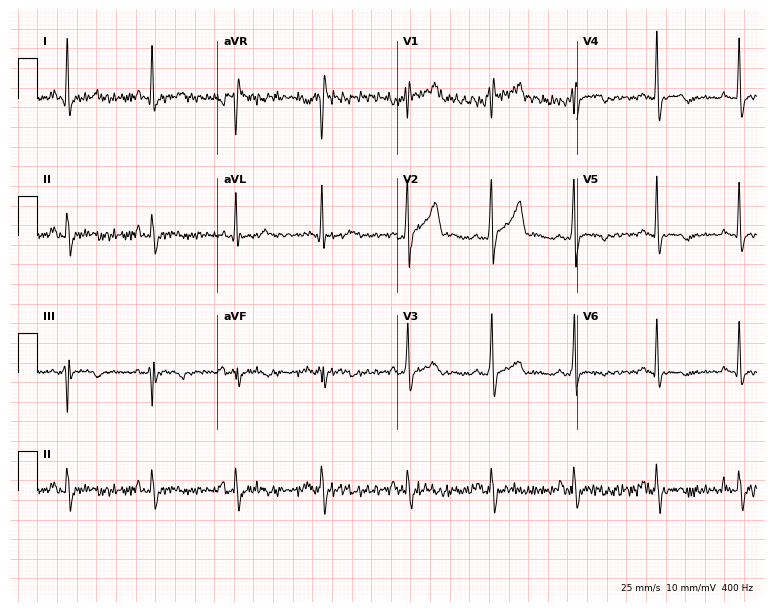
Resting 12-lead electrocardiogram (7.3-second recording at 400 Hz). Patient: a 31-year-old male. None of these six findings is recorded: first-degree AV block, right bundle branch block, left bundle branch block, sinus bradycardia, atrial fibrillation, sinus tachycardia.